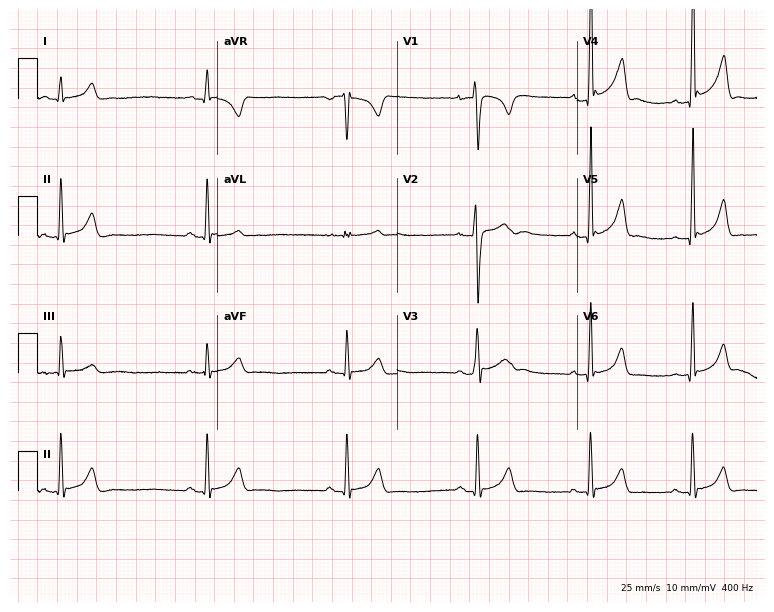
Resting 12-lead electrocardiogram (7.3-second recording at 400 Hz). Patient: a male, 17 years old. Read as a normal ECG.